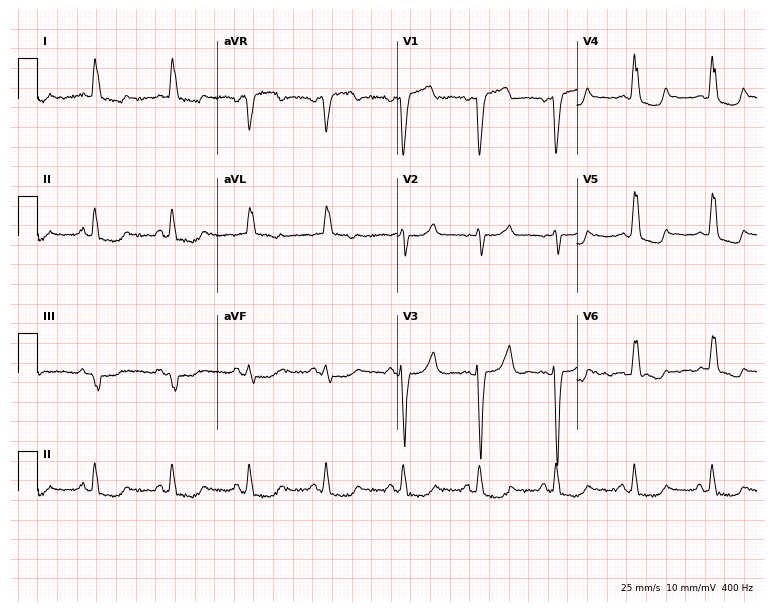
Electrocardiogram (7.3-second recording at 400 Hz), a female, 73 years old. Of the six screened findings (first-degree AV block, right bundle branch block (RBBB), left bundle branch block (LBBB), sinus bradycardia, atrial fibrillation (AF), sinus tachycardia), none is recorded. Other findings, if any, are not listed.